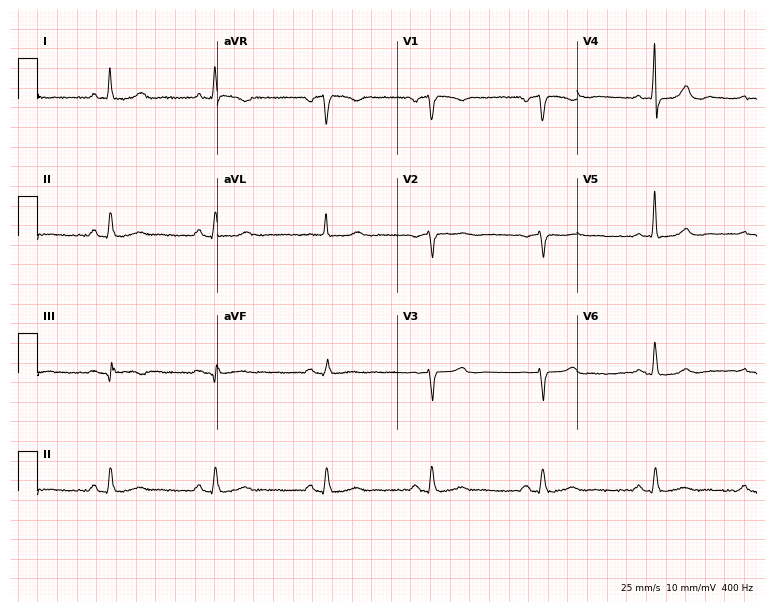
Electrocardiogram (7.3-second recording at 400 Hz), a female patient, 59 years old. Of the six screened findings (first-degree AV block, right bundle branch block, left bundle branch block, sinus bradycardia, atrial fibrillation, sinus tachycardia), none is recorded. Findings outside these six are not listed.